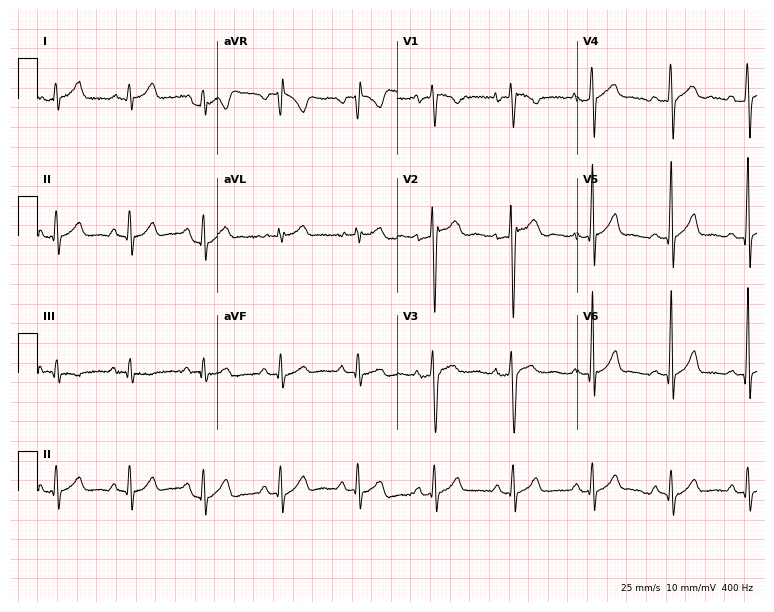
12-lead ECG from a male, 18 years old. Labelled as a normal ECG.